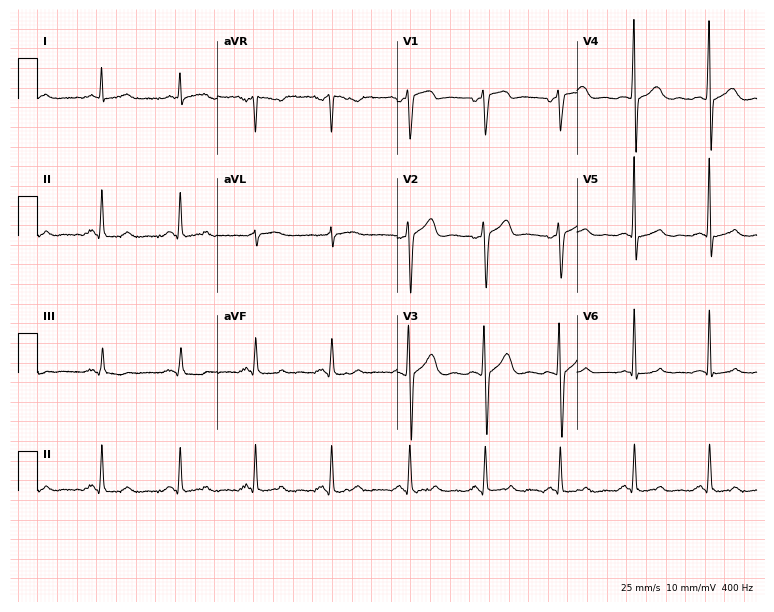
12-lead ECG from a 45-year-old male patient. Labelled as a normal ECG.